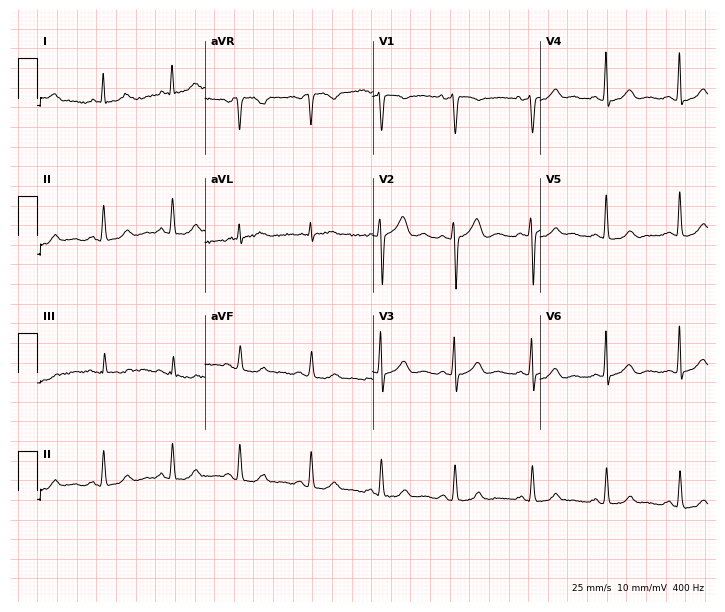
ECG — a 49-year-old female patient. Labelled as a normal ECG.